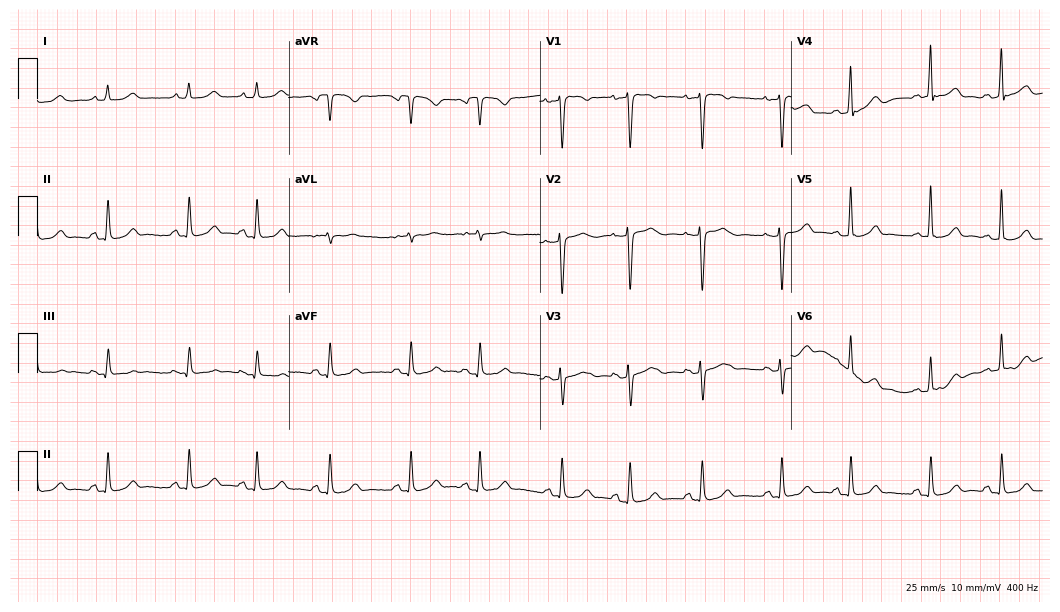
Resting 12-lead electrocardiogram (10.2-second recording at 400 Hz). Patient: a female, 22 years old. None of these six findings is recorded: first-degree AV block, right bundle branch block, left bundle branch block, sinus bradycardia, atrial fibrillation, sinus tachycardia. Findings outside these six are not listed.